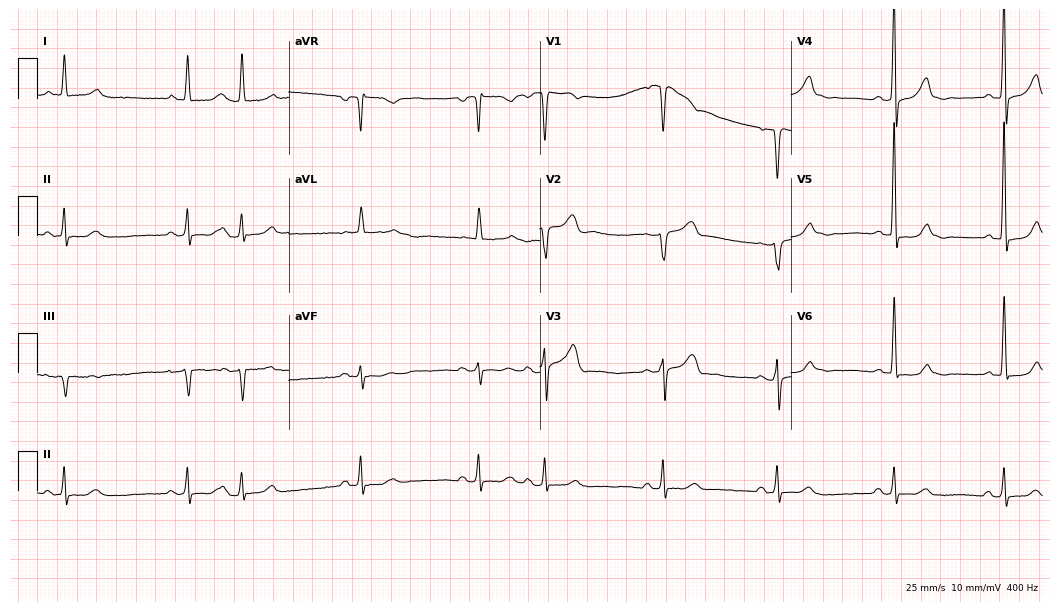
12-lead ECG from a 60-year-old male (10.2-second recording at 400 Hz). Shows sinus bradycardia (a sinus rate of 50 beats per minute or less).